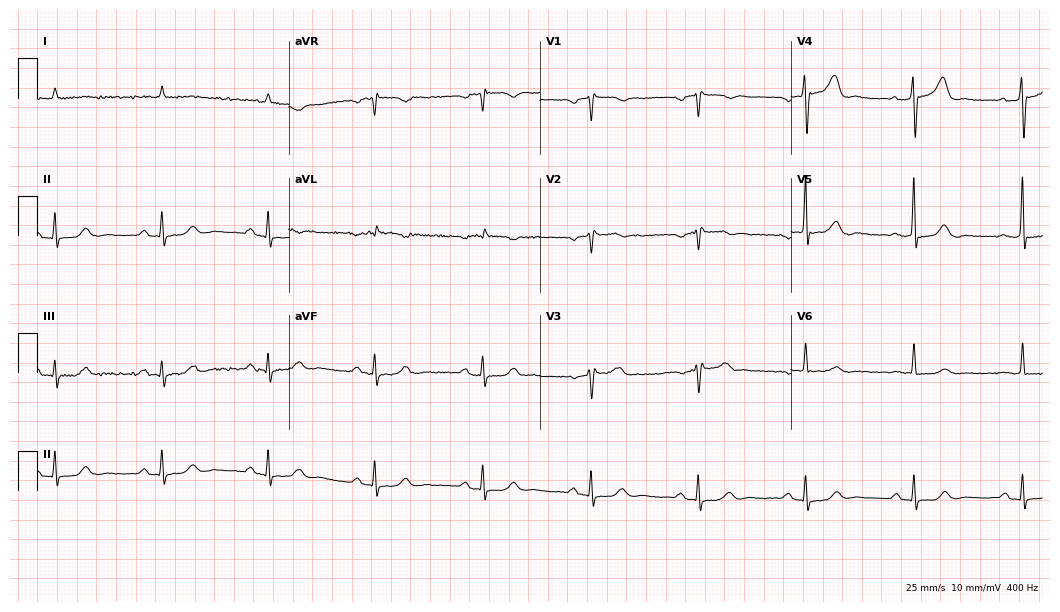
Standard 12-lead ECG recorded from an 84-year-old male. None of these six findings is recorded: first-degree AV block, right bundle branch block, left bundle branch block, sinus bradycardia, atrial fibrillation, sinus tachycardia. Only these six findings were labelled.